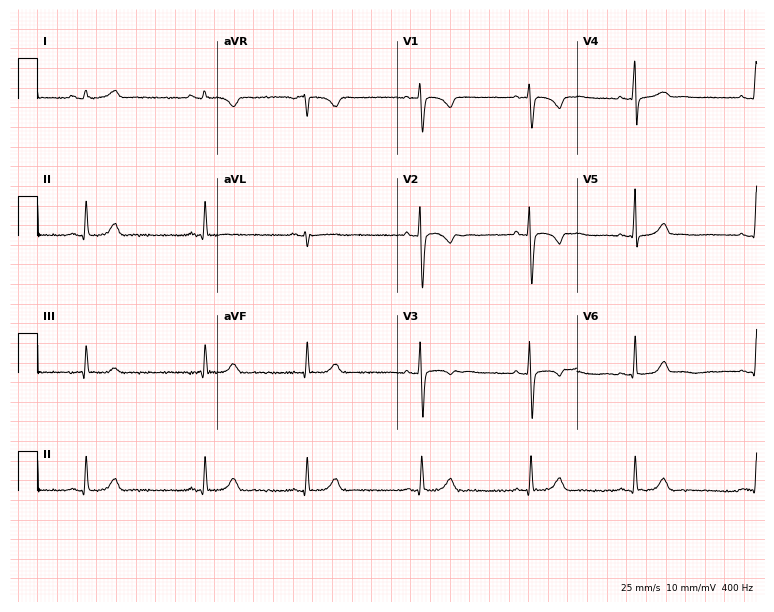
12-lead ECG (7.3-second recording at 400 Hz) from a 27-year-old female. Labelled as a normal ECG.